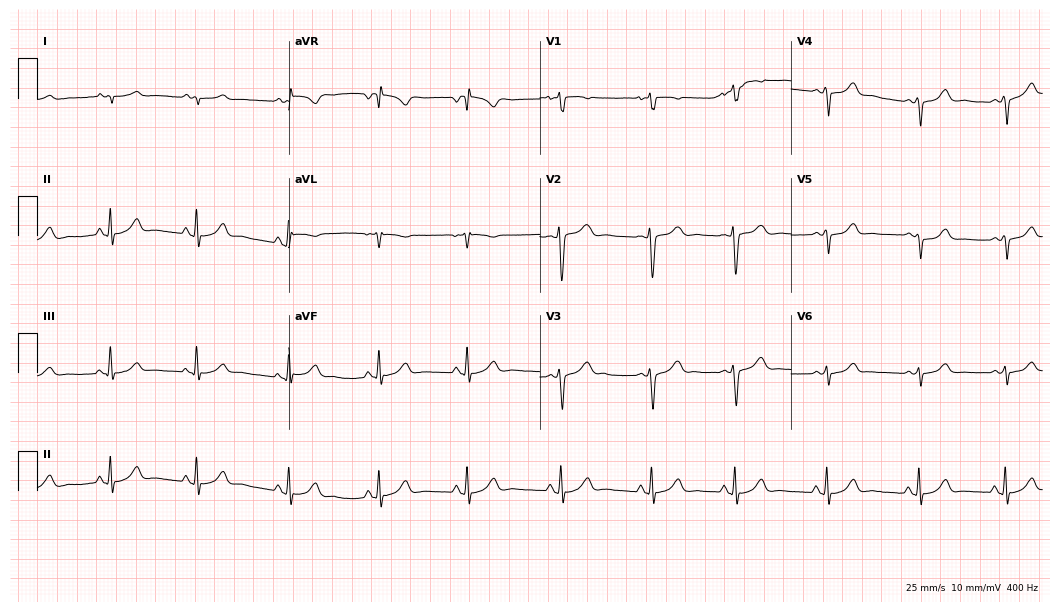
Electrocardiogram, a woman, 18 years old. Of the six screened findings (first-degree AV block, right bundle branch block (RBBB), left bundle branch block (LBBB), sinus bradycardia, atrial fibrillation (AF), sinus tachycardia), none is recorded.